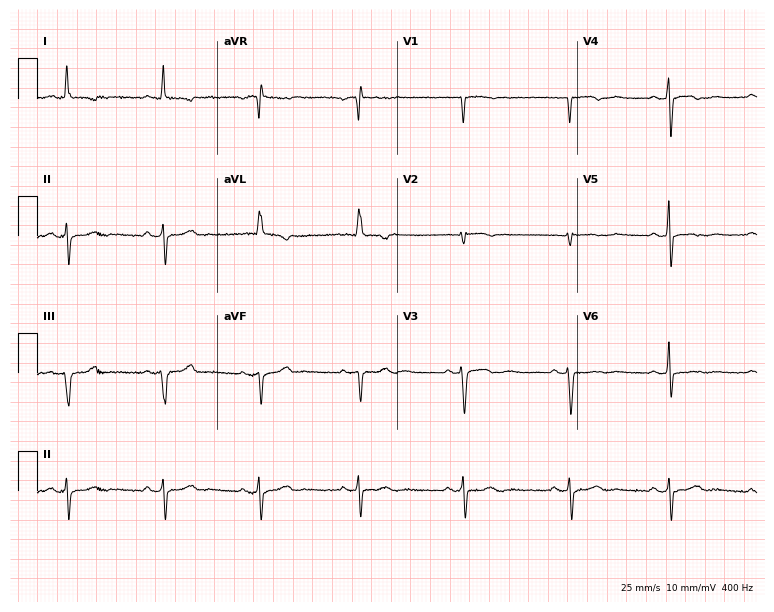
ECG — a 79-year-old female. Screened for six findings — first-degree AV block, right bundle branch block, left bundle branch block, sinus bradycardia, atrial fibrillation, sinus tachycardia — none is recorded. Findings outside these six are not listed.